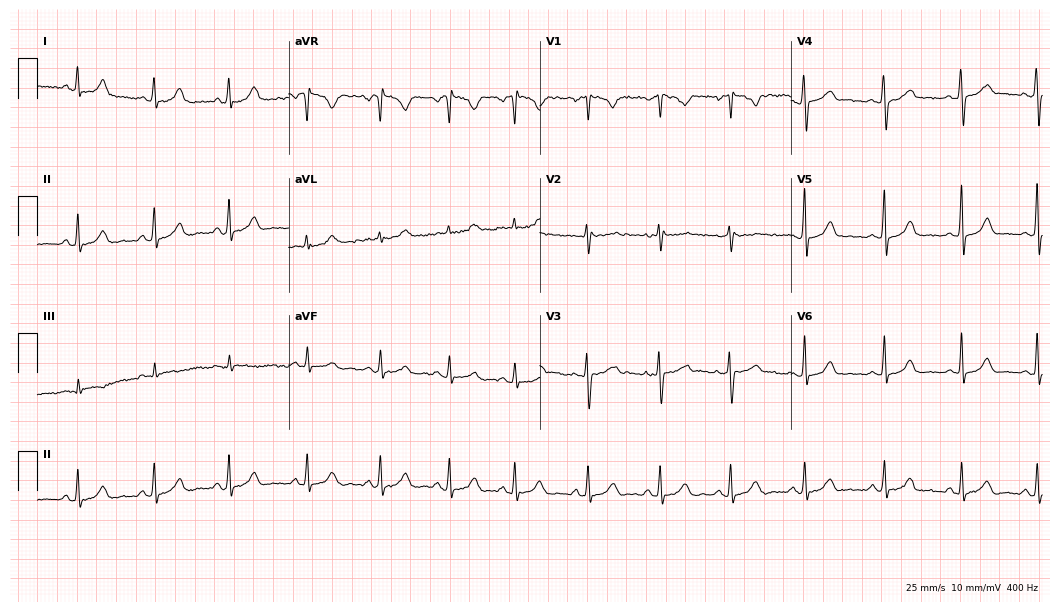
Resting 12-lead electrocardiogram. Patient: a 34-year-old female. Read as a normal ECG.